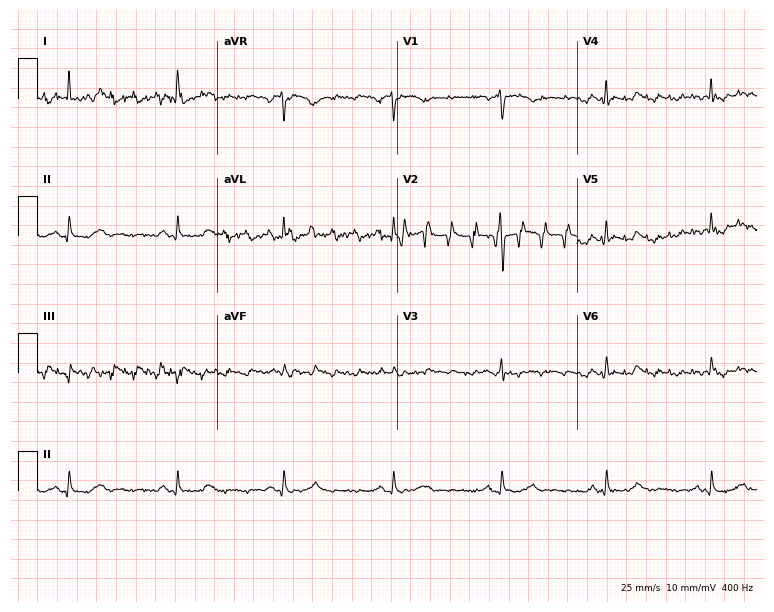
Electrocardiogram, a female, 71 years old. Overall reading on record: normal ECG.